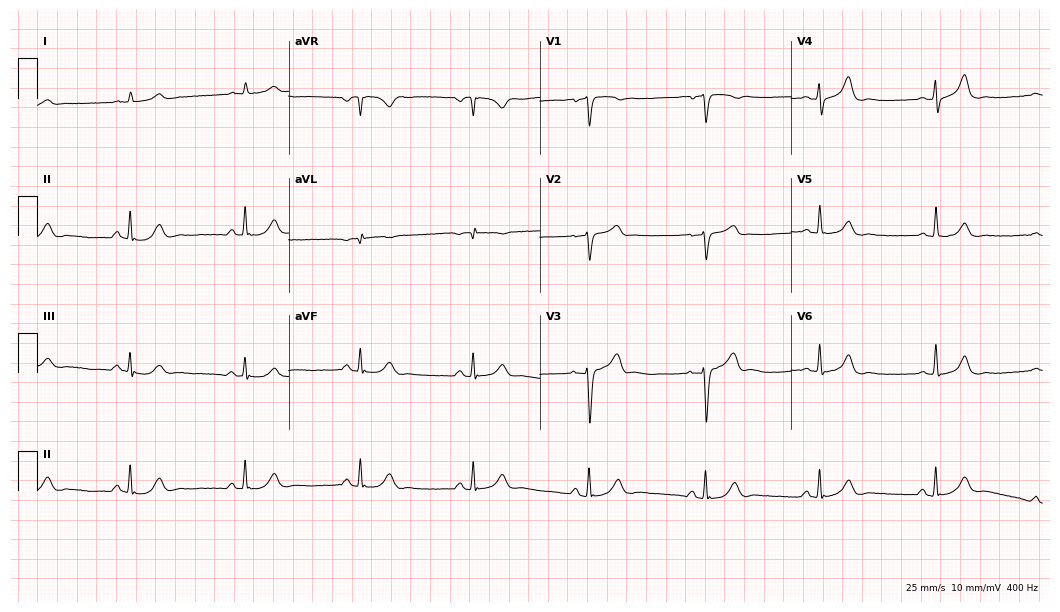
12-lead ECG from a male, 59 years old (10.2-second recording at 400 Hz). Recorded interpretation: within normal limits.